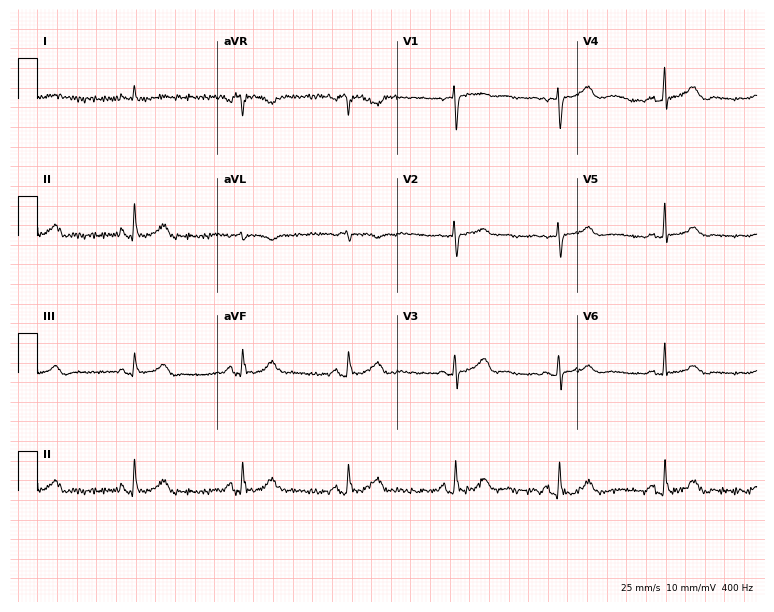
ECG (7.3-second recording at 400 Hz) — a female patient, 75 years old. Labelled as a normal ECG.